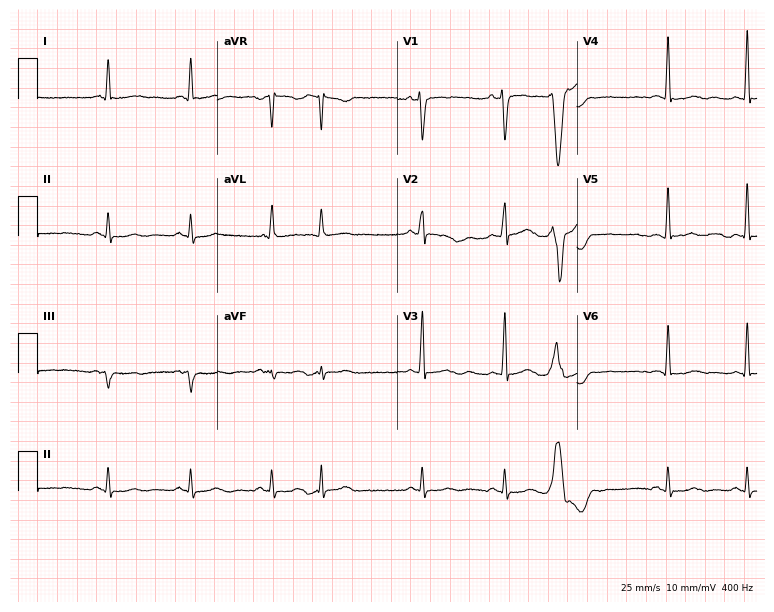
ECG — a male patient, 63 years old. Screened for six findings — first-degree AV block, right bundle branch block, left bundle branch block, sinus bradycardia, atrial fibrillation, sinus tachycardia — none is recorded.